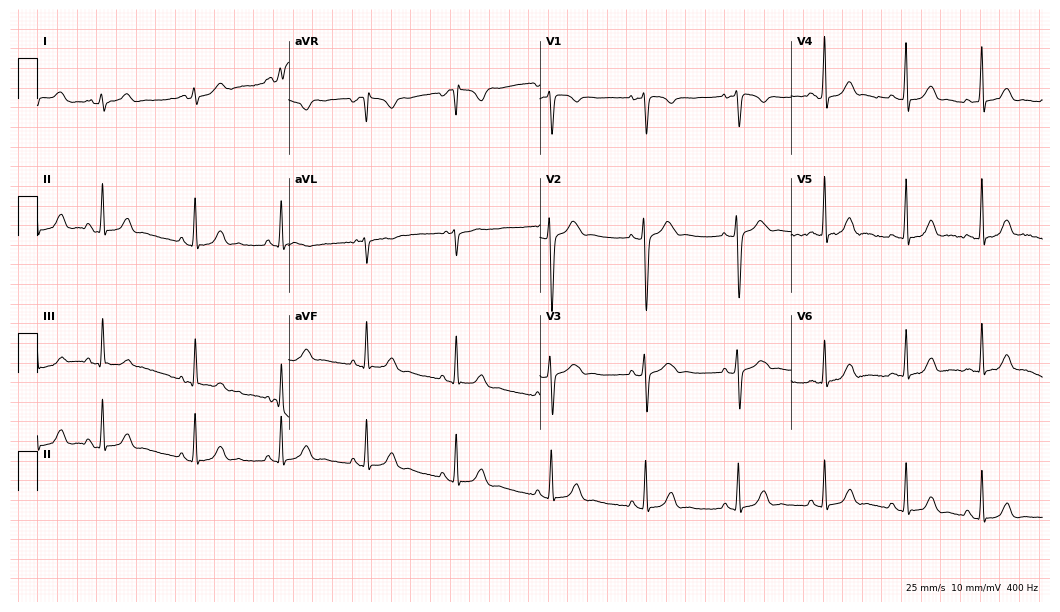
Electrocardiogram (10.2-second recording at 400 Hz), a female, 22 years old. Overall reading on record: normal ECG.